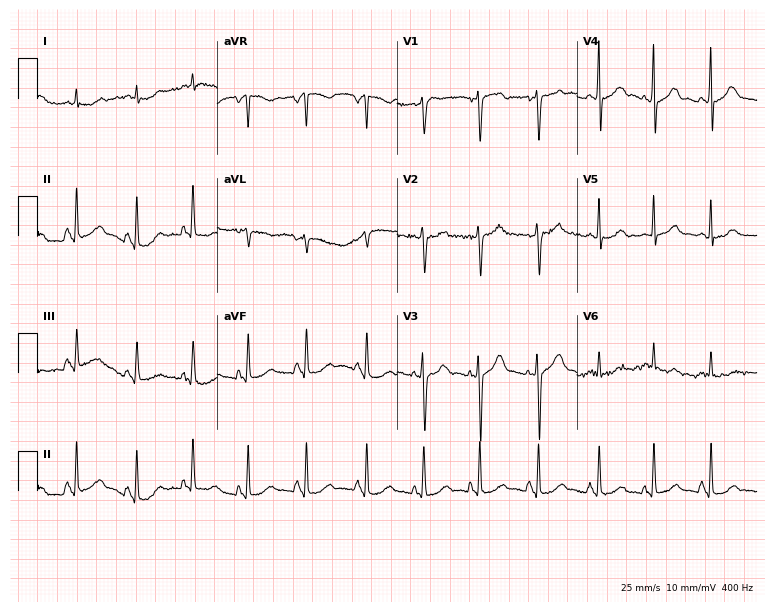
Electrocardiogram (7.3-second recording at 400 Hz), a female, 49 years old. Interpretation includes sinus tachycardia (a sinus rate of 100 beats per minute or more).